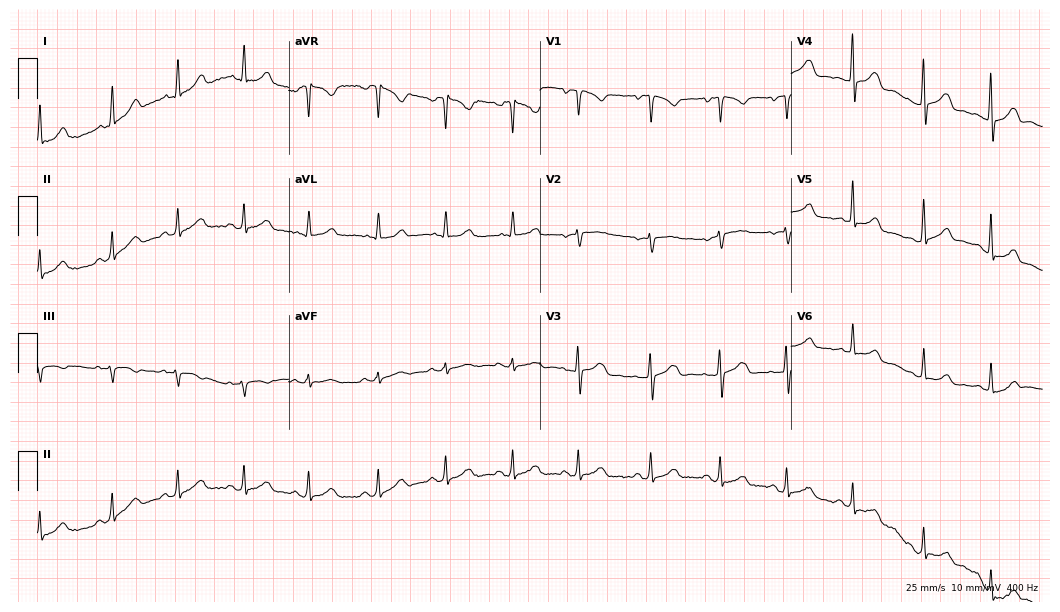
12-lead ECG from a woman, 24 years old. Labelled as a normal ECG.